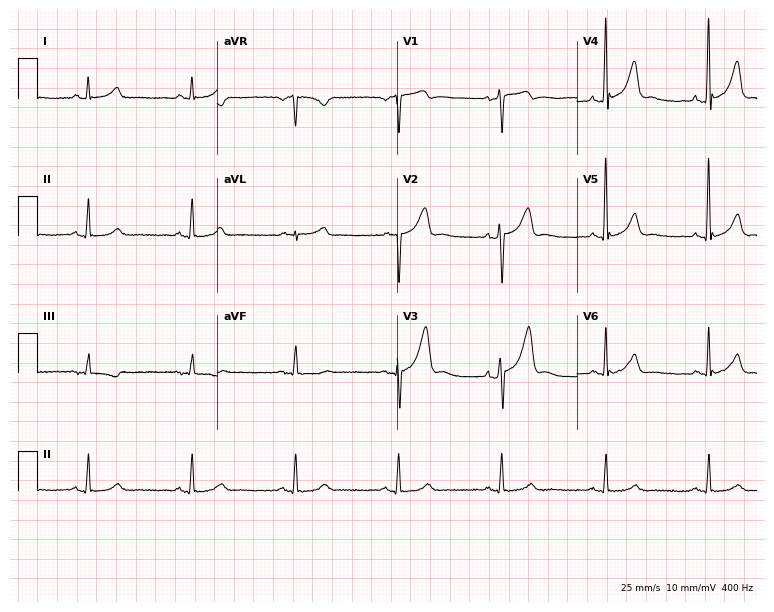
Standard 12-lead ECG recorded from a male patient, 52 years old (7.3-second recording at 400 Hz). None of these six findings is recorded: first-degree AV block, right bundle branch block, left bundle branch block, sinus bradycardia, atrial fibrillation, sinus tachycardia.